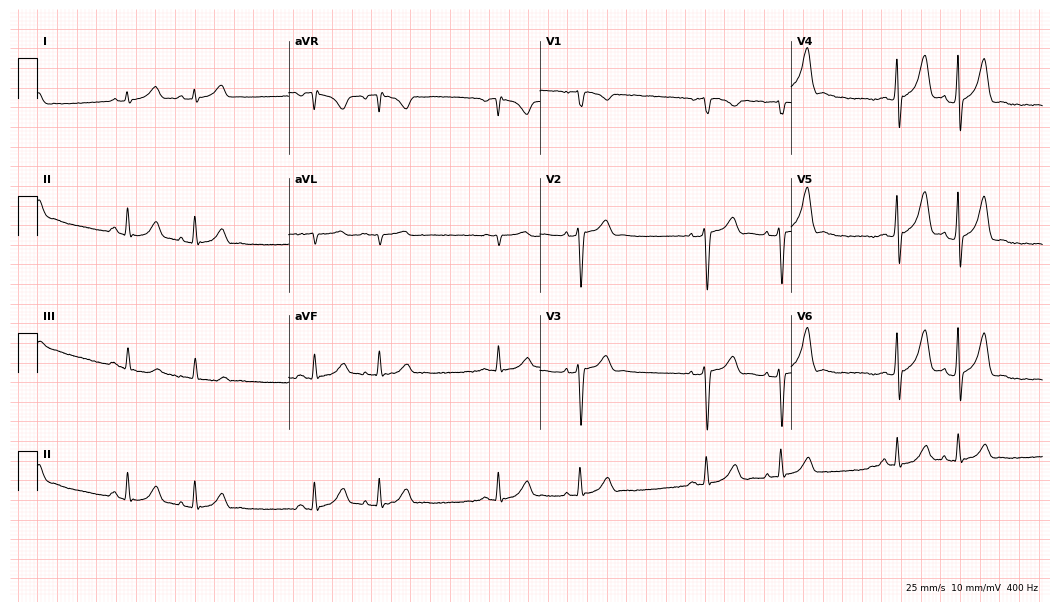
Electrocardiogram (10.2-second recording at 400 Hz), a man, 53 years old. Of the six screened findings (first-degree AV block, right bundle branch block (RBBB), left bundle branch block (LBBB), sinus bradycardia, atrial fibrillation (AF), sinus tachycardia), none is recorded. Findings outside these six are not listed.